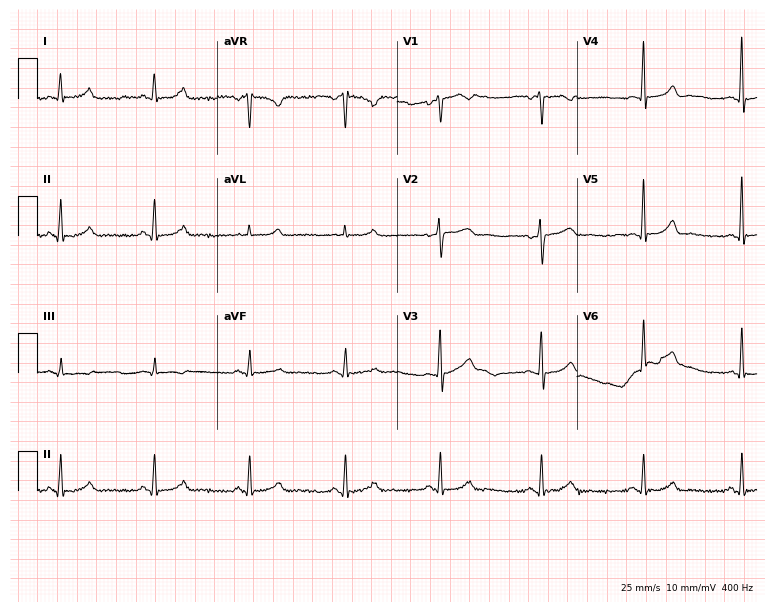
Standard 12-lead ECG recorded from a female patient, 47 years old. Read as a normal ECG.